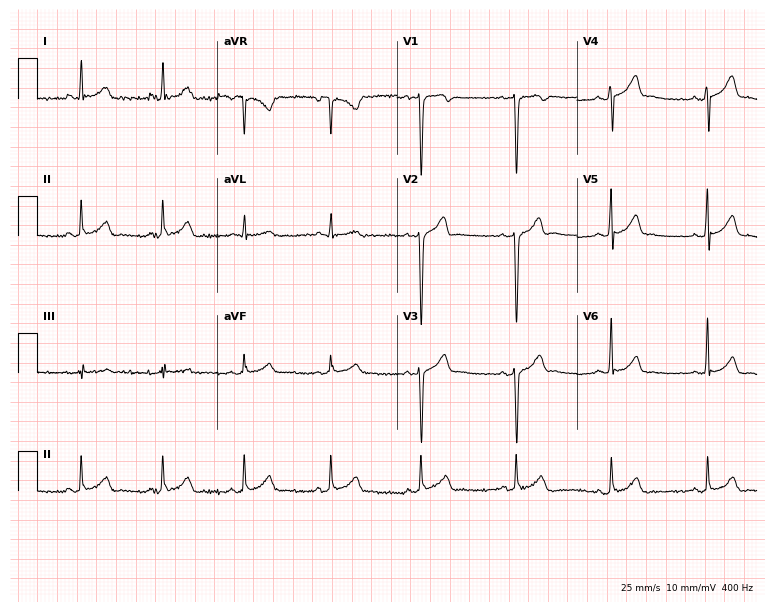
Resting 12-lead electrocardiogram. Patient: a man, 25 years old. Read as a normal ECG.